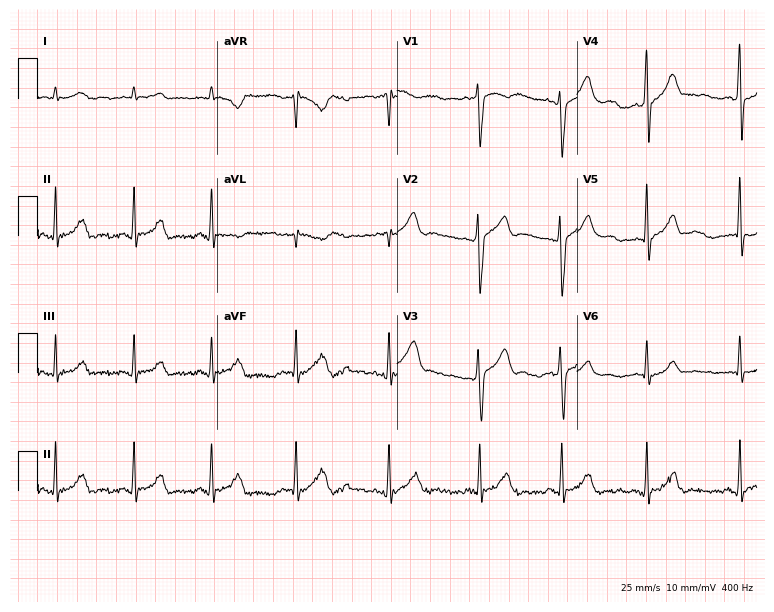
ECG (7.3-second recording at 400 Hz) — a male patient, 25 years old. Labelled as a normal ECG.